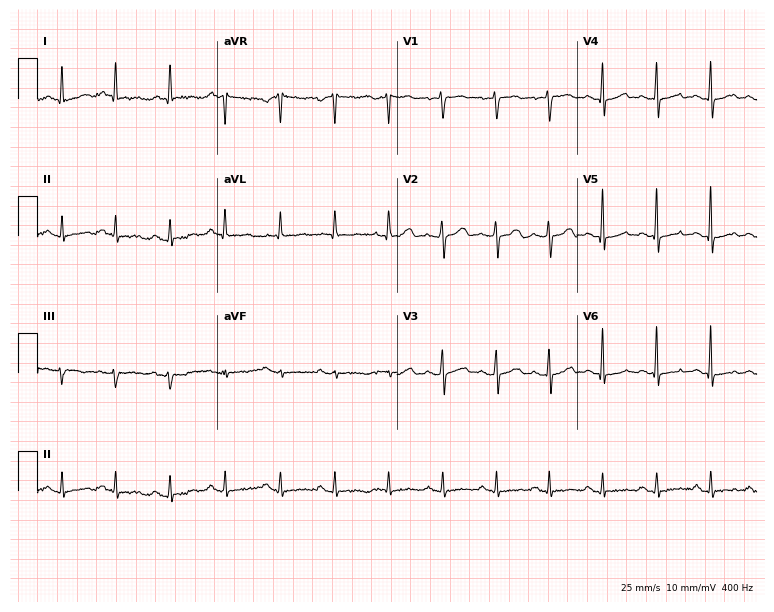
Electrocardiogram, a 43-year-old female patient. Interpretation includes sinus tachycardia (a sinus rate of 100 beats per minute or more).